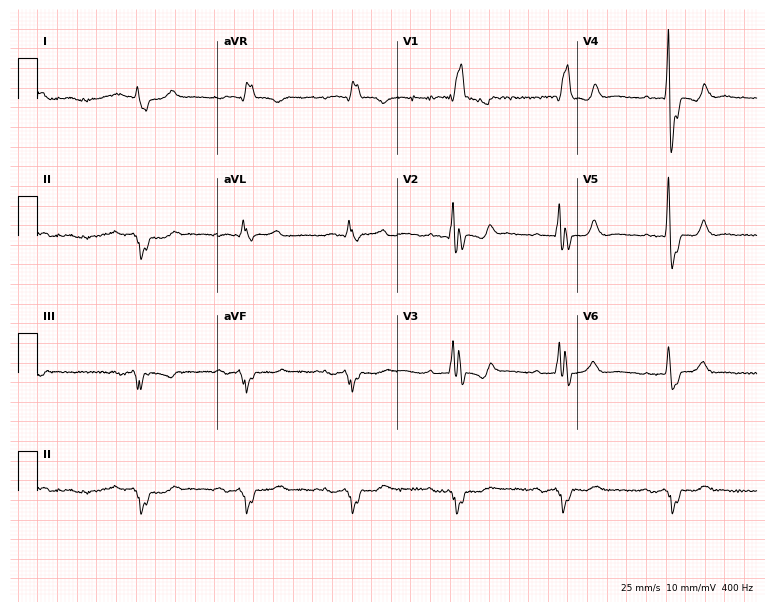
ECG (7.3-second recording at 400 Hz) — a man, 82 years old. Findings include first-degree AV block, right bundle branch block.